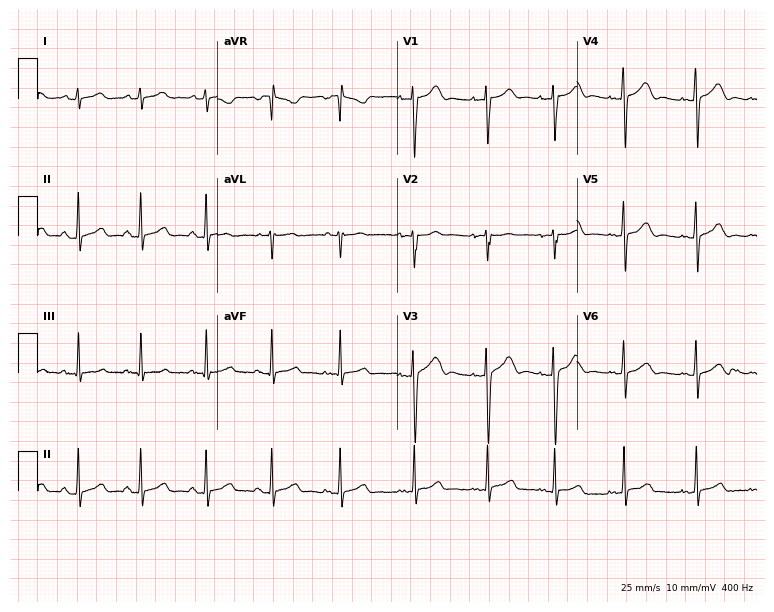
Standard 12-lead ECG recorded from a woman, 17 years old (7.3-second recording at 400 Hz). Read as a normal ECG.